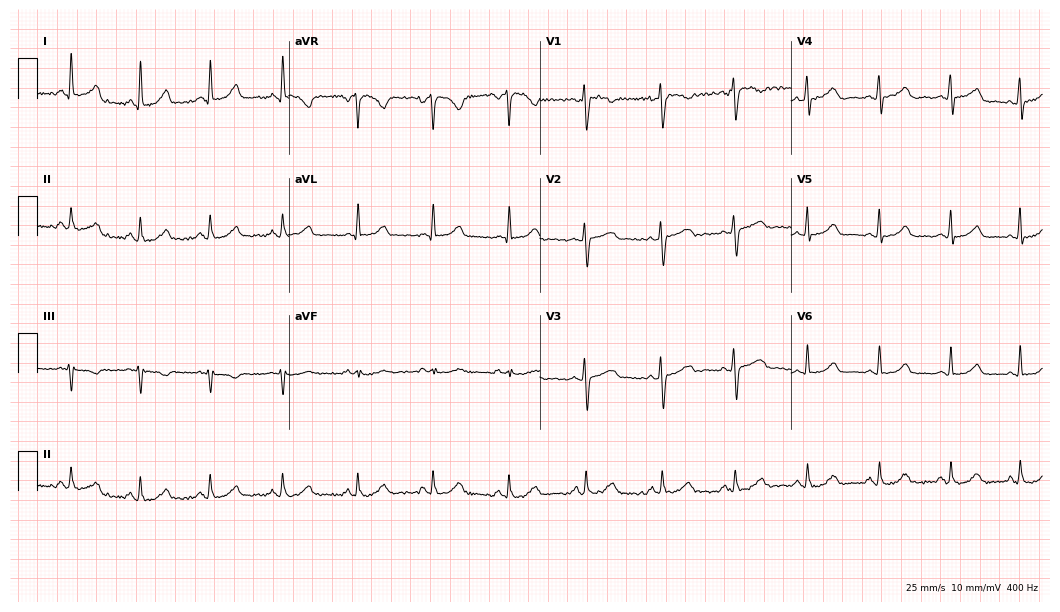
Resting 12-lead electrocardiogram (10.2-second recording at 400 Hz). Patient: a 53-year-old female. Read as a normal ECG.